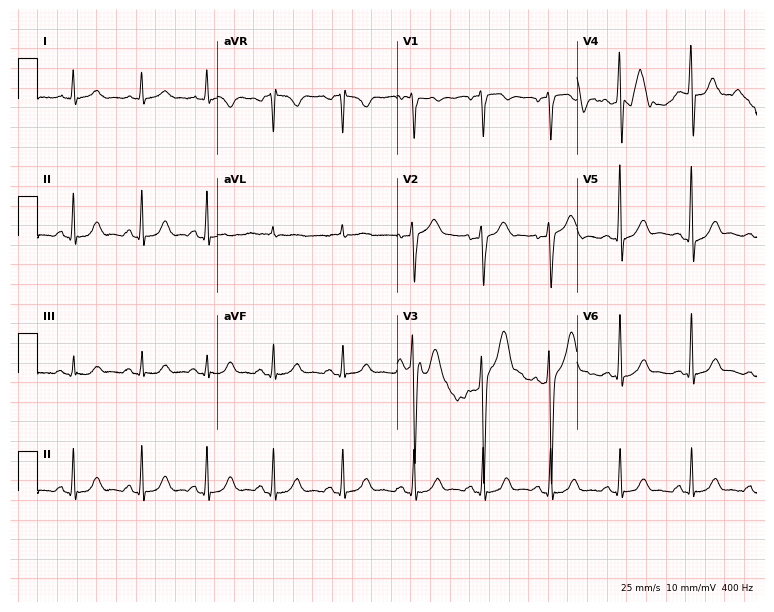
Electrocardiogram, a man, 44 years old. Of the six screened findings (first-degree AV block, right bundle branch block, left bundle branch block, sinus bradycardia, atrial fibrillation, sinus tachycardia), none is recorded. Only these six findings were labelled.